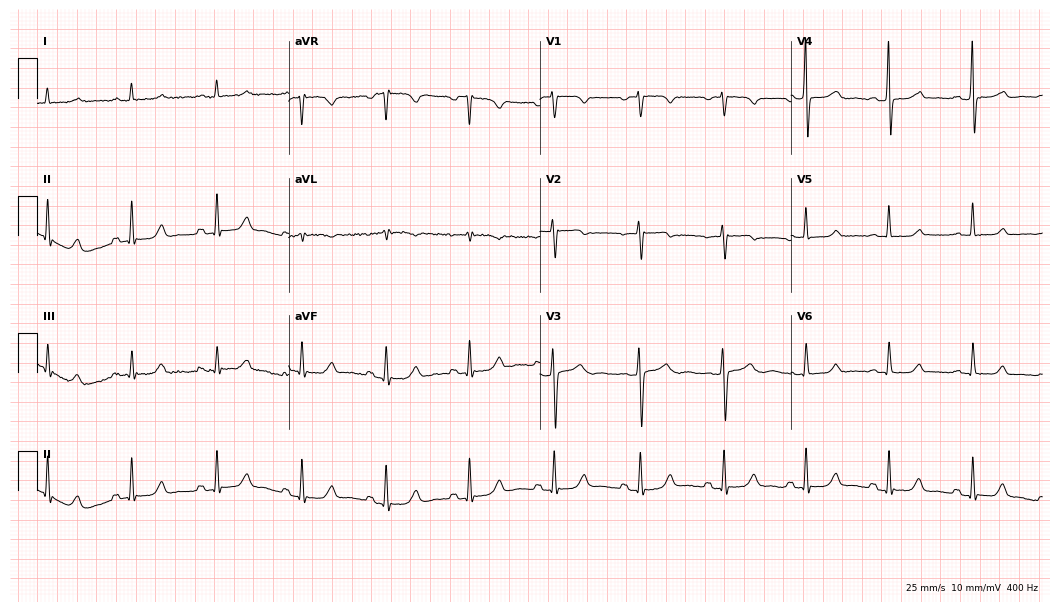
ECG (10.2-second recording at 400 Hz) — a female, 58 years old. Screened for six findings — first-degree AV block, right bundle branch block (RBBB), left bundle branch block (LBBB), sinus bradycardia, atrial fibrillation (AF), sinus tachycardia — none is recorded.